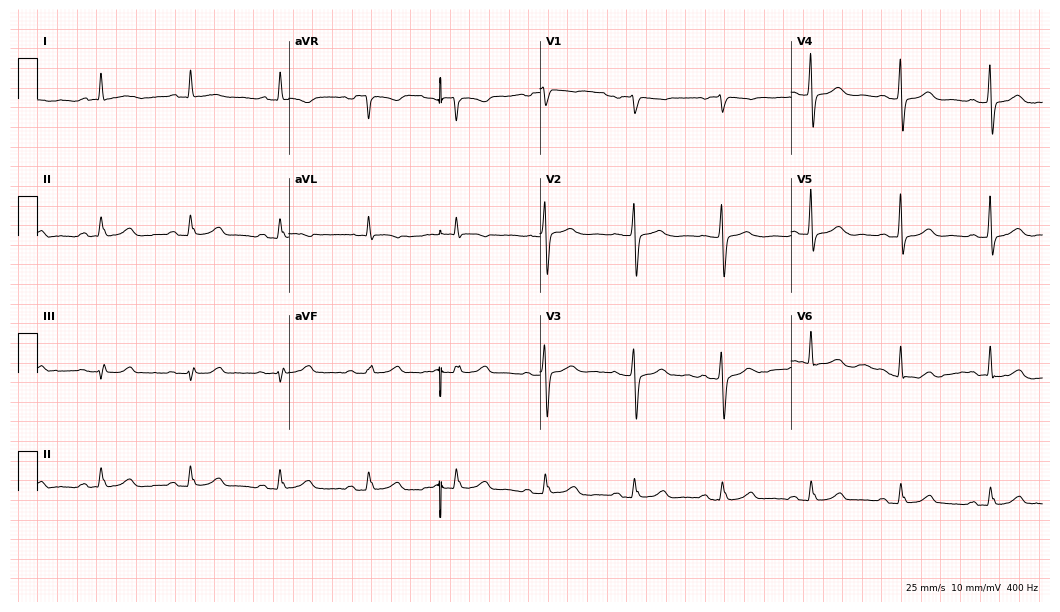
ECG — an 83-year-old woman. Screened for six findings — first-degree AV block, right bundle branch block (RBBB), left bundle branch block (LBBB), sinus bradycardia, atrial fibrillation (AF), sinus tachycardia — none is recorded.